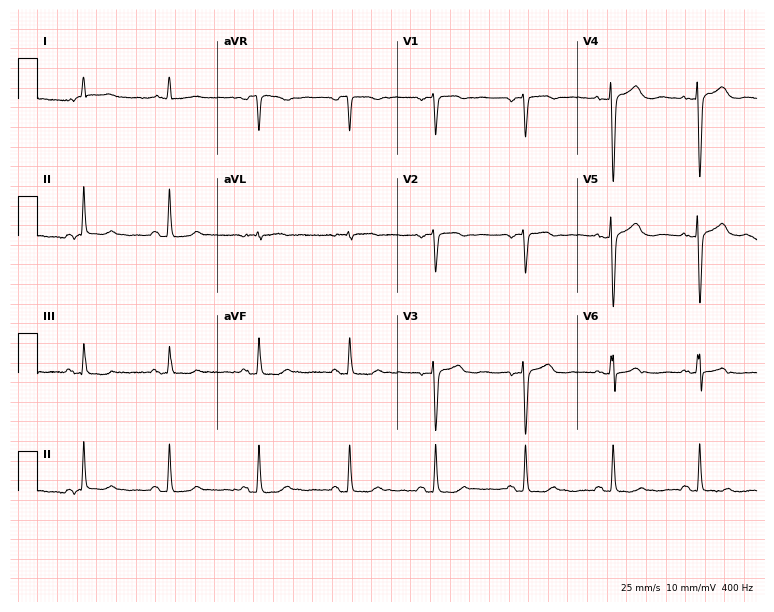
ECG — a female patient, 47 years old. Screened for six findings — first-degree AV block, right bundle branch block, left bundle branch block, sinus bradycardia, atrial fibrillation, sinus tachycardia — none is recorded. Other findings, if any, are not listed.